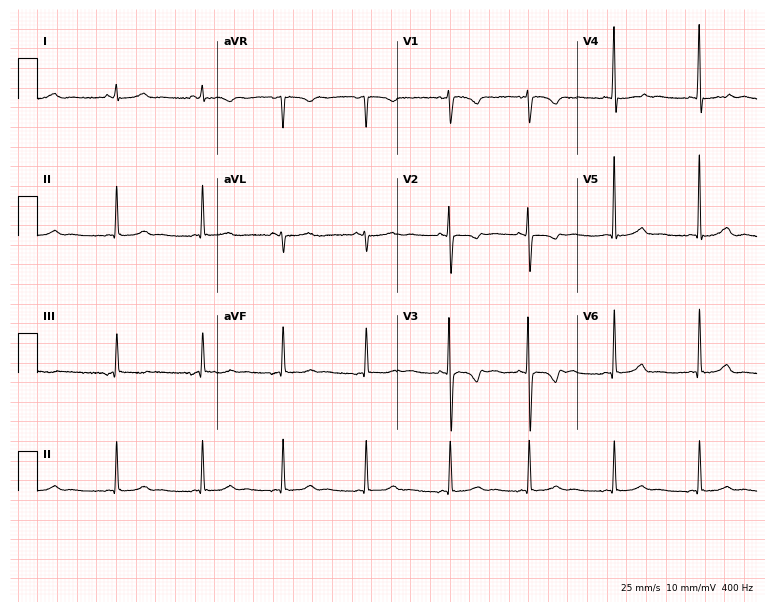
Standard 12-lead ECG recorded from a 33-year-old female. None of these six findings is recorded: first-degree AV block, right bundle branch block (RBBB), left bundle branch block (LBBB), sinus bradycardia, atrial fibrillation (AF), sinus tachycardia. Findings outside these six are not listed.